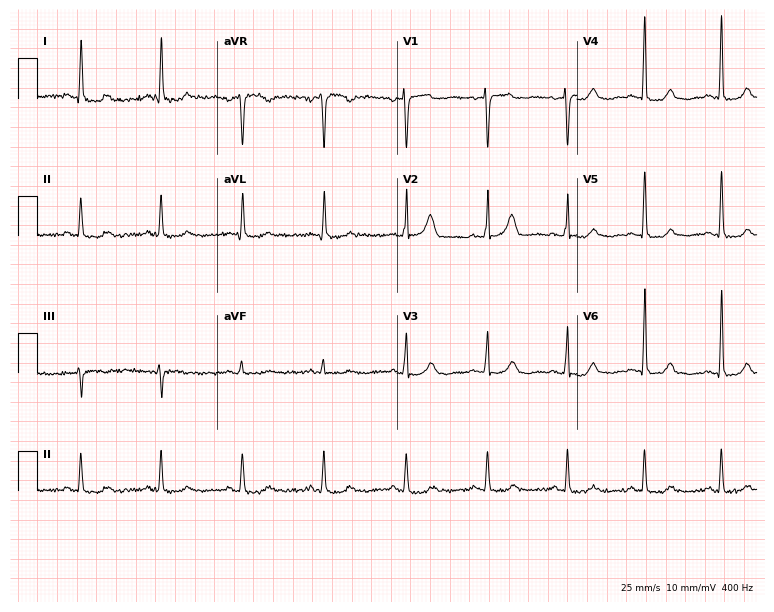
ECG (7.3-second recording at 400 Hz) — a woman, 74 years old. Screened for six findings — first-degree AV block, right bundle branch block (RBBB), left bundle branch block (LBBB), sinus bradycardia, atrial fibrillation (AF), sinus tachycardia — none is recorded. Only these six findings were labelled.